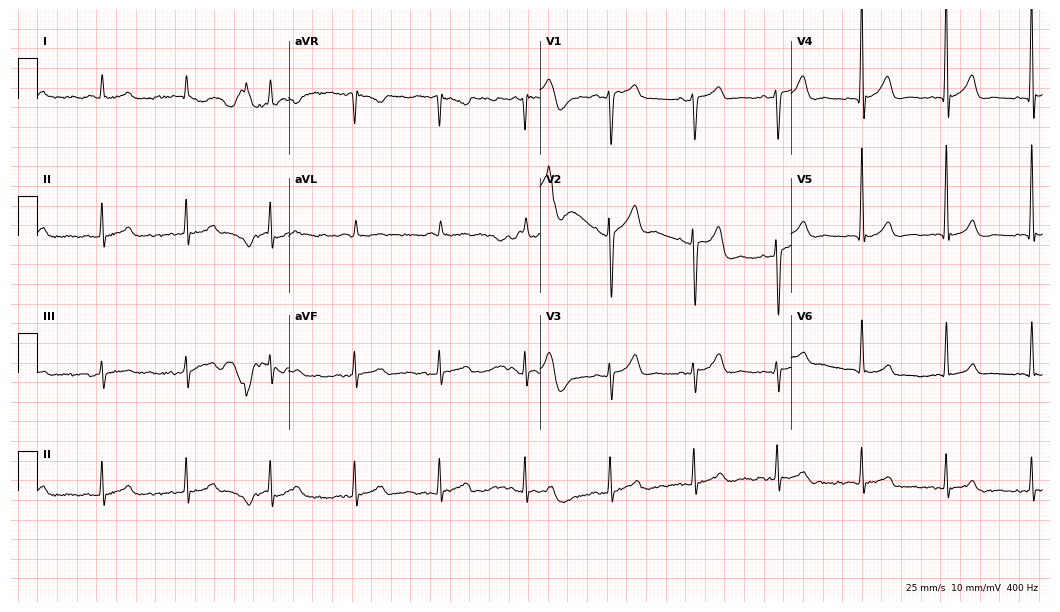
ECG — a man, 62 years old. Labelled as a normal ECG.